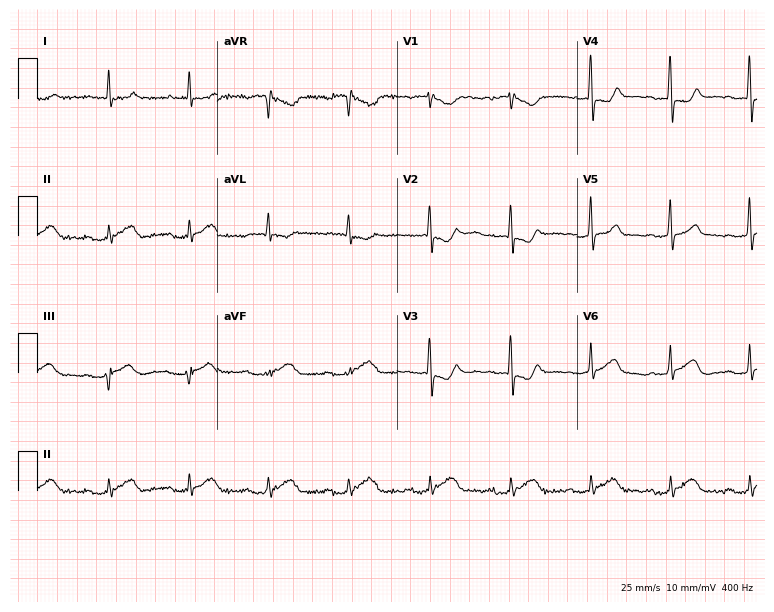
12-lead ECG from a male patient, 64 years old. Shows first-degree AV block.